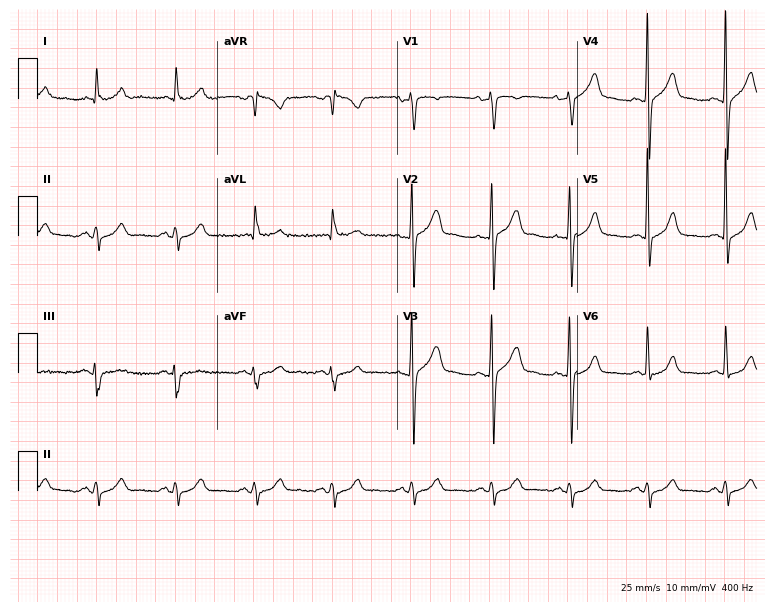
Standard 12-lead ECG recorded from a male patient, 65 years old. None of these six findings is recorded: first-degree AV block, right bundle branch block, left bundle branch block, sinus bradycardia, atrial fibrillation, sinus tachycardia. Only these six findings were labelled.